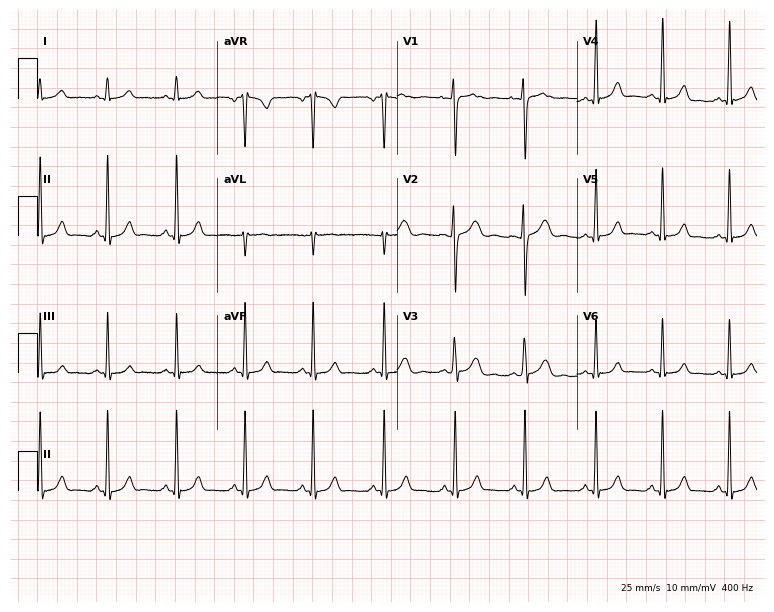
12-lead ECG from a 21-year-old woman. Labelled as a normal ECG.